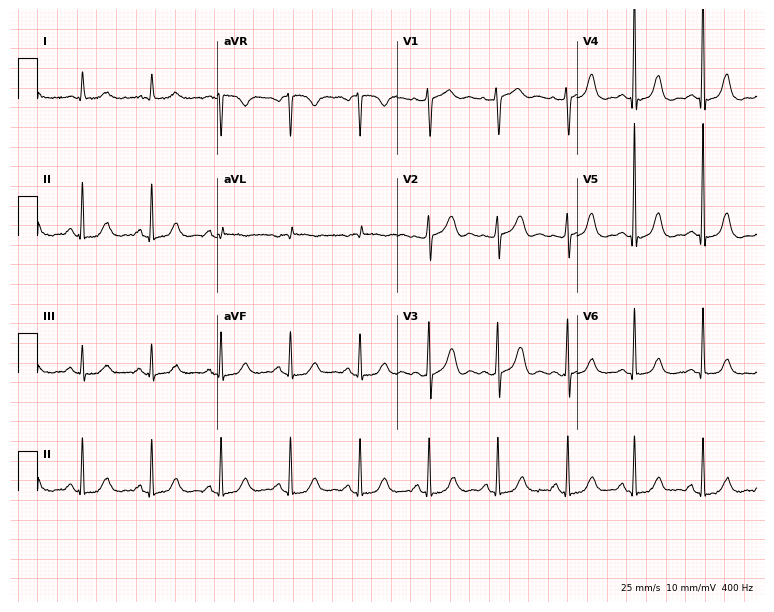
Standard 12-lead ECG recorded from an 80-year-old female (7.3-second recording at 400 Hz). Read as a normal ECG.